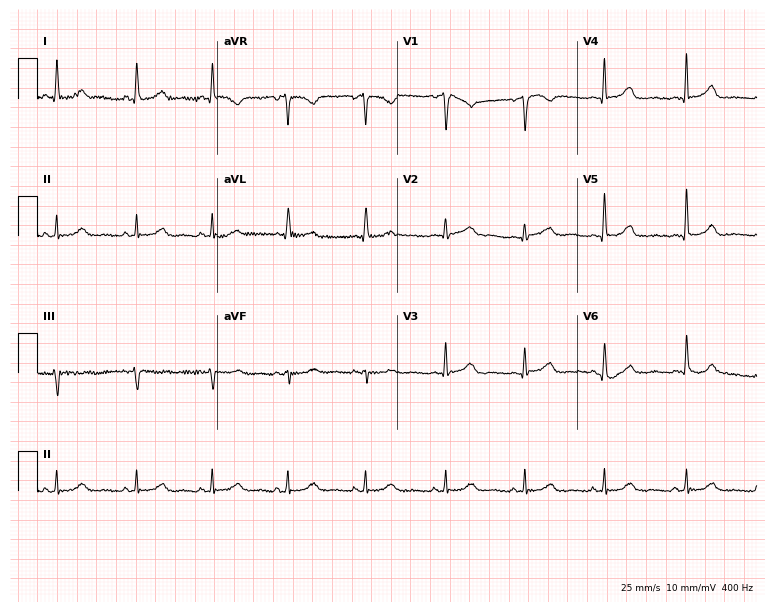
12-lead ECG (7.3-second recording at 400 Hz) from a woman, 32 years old. Screened for six findings — first-degree AV block, right bundle branch block, left bundle branch block, sinus bradycardia, atrial fibrillation, sinus tachycardia — none is recorded.